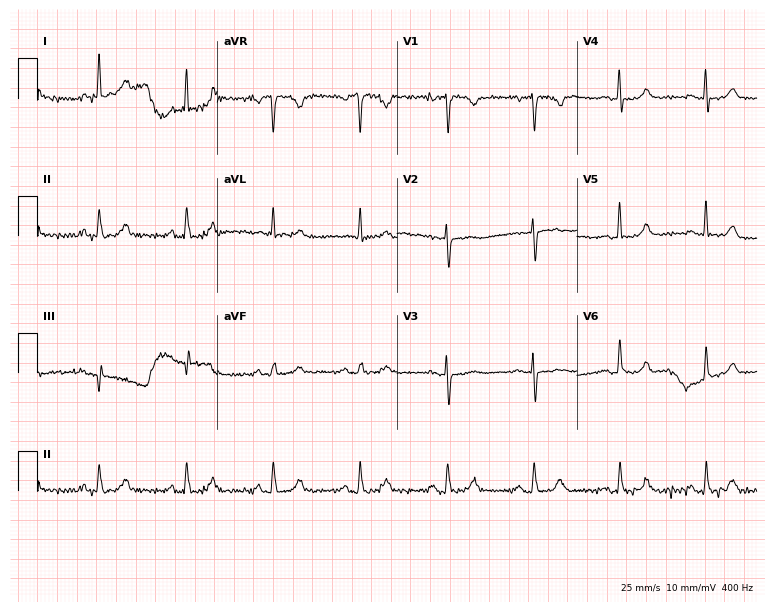
Resting 12-lead electrocardiogram. Patient: a 56-year-old female. None of these six findings is recorded: first-degree AV block, right bundle branch block (RBBB), left bundle branch block (LBBB), sinus bradycardia, atrial fibrillation (AF), sinus tachycardia.